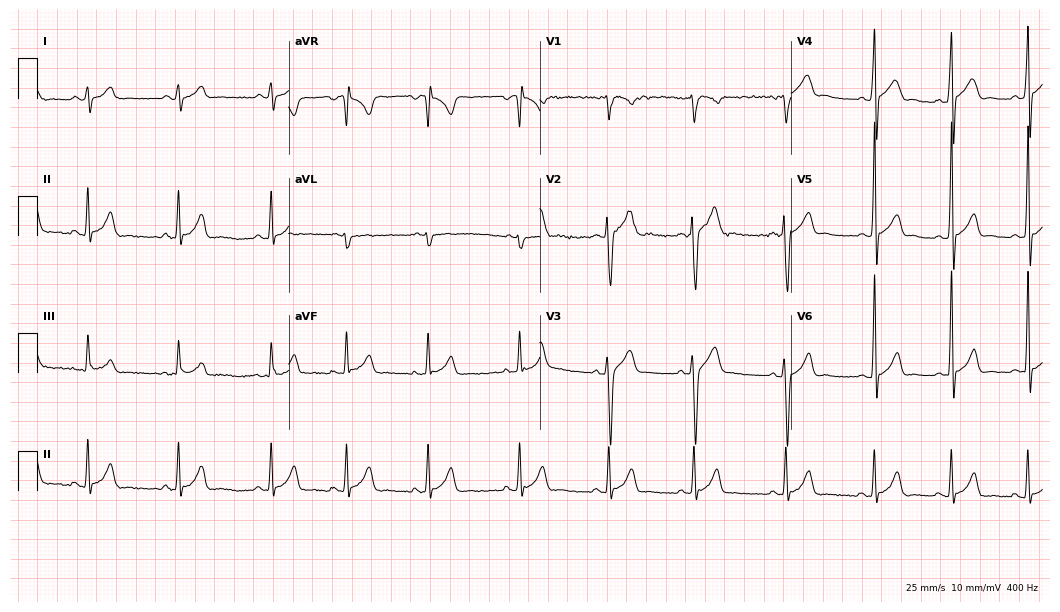
Resting 12-lead electrocardiogram. Patient: a male, 18 years old. None of these six findings is recorded: first-degree AV block, right bundle branch block, left bundle branch block, sinus bradycardia, atrial fibrillation, sinus tachycardia. Findings outside these six are not listed.